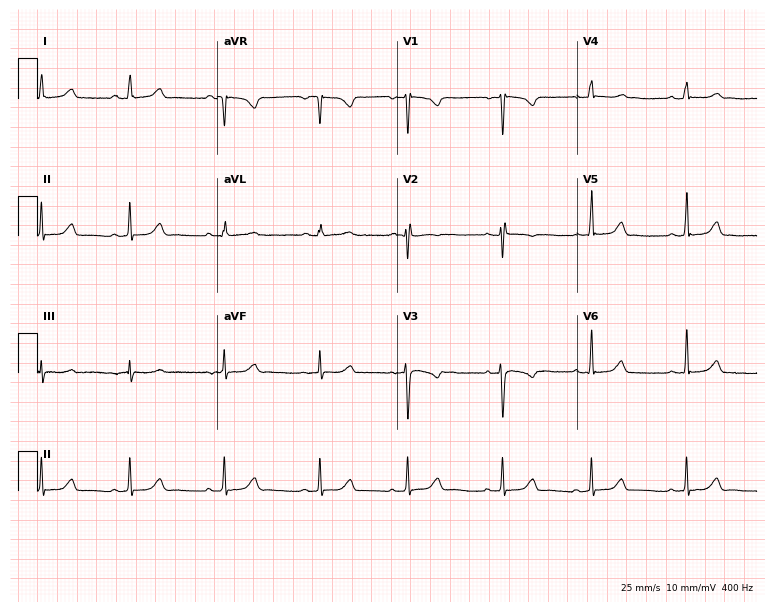
Electrocardiogram (7.3-second recording at 400 Hz), a woman, 17 years old. Of the six screened findings (first-degree AV block, right bundle branch block, left bundle branch block, sinus bradycardia, atrial fibrillation, sinus tachycardia), none is recorded. Only these six findings were labelled.